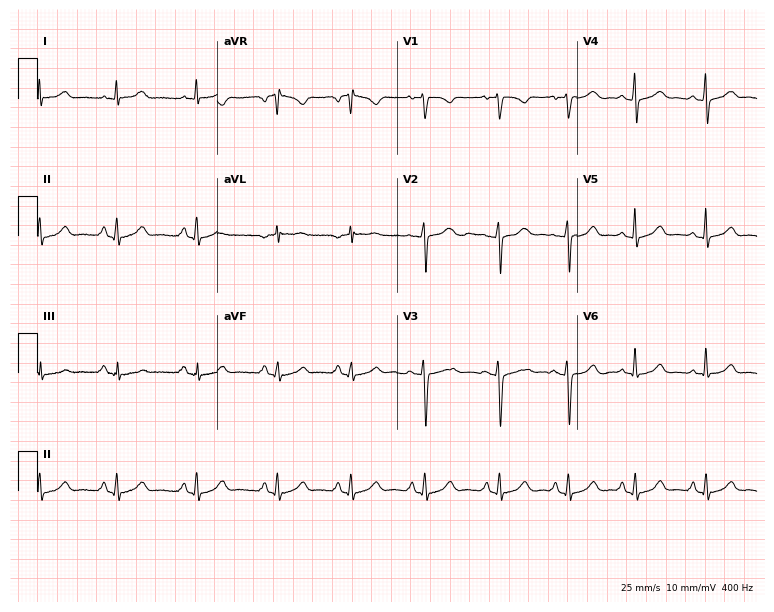
Electrocardiogram, a 27-year-old woman. Of the six screened findings (first-degree AV block, right bundle branch block, left bundle branch block, sinus bradycardia, atrial fibrillation, sinus tachycardia), none is recorded.